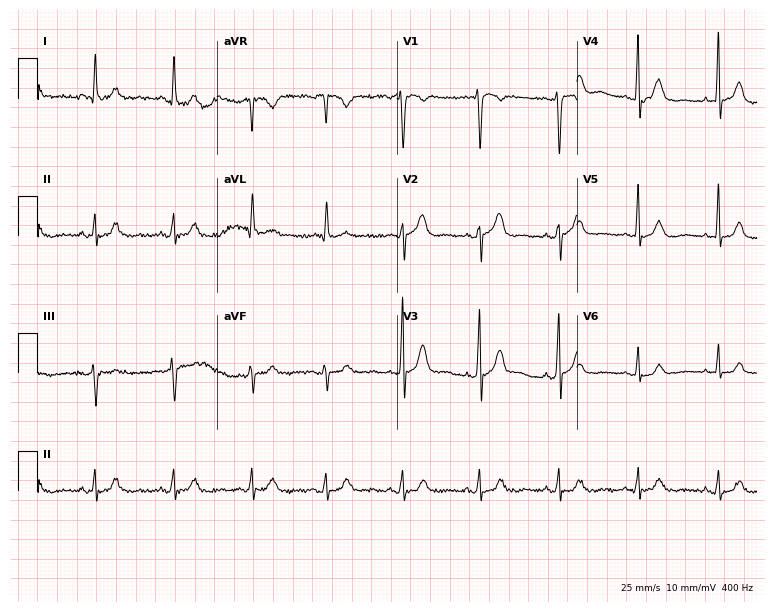
ECG (7.3-second recording at 400 Hz) — a female, 59 years old. Screened for six findings — first-degree AV block, right bundle branch block, left bundle branch block, sinus bradycardia, atrial fibrillation, sinus tachycardia — none is recorded. Other findings, if any, are not listed.